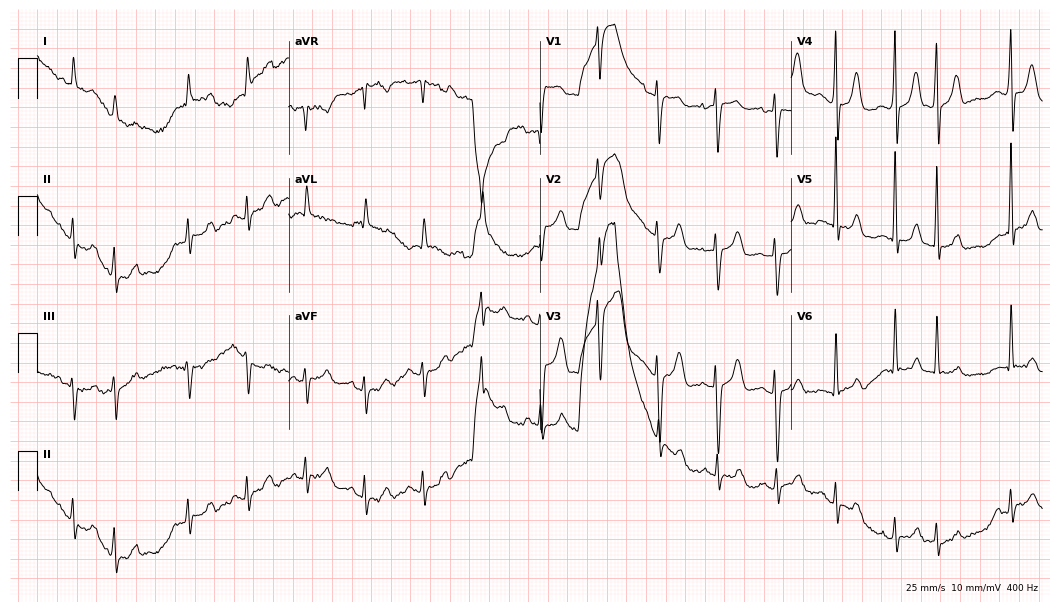
12-lead ECG from a female, 67 years old (10.2-second recording at 400 Hz). No first-degree AV block, right bundle branch block, left bundle branch block, sinus bradycardia, atrial fibrillation or sinus tachycardia recorded for this tracing.